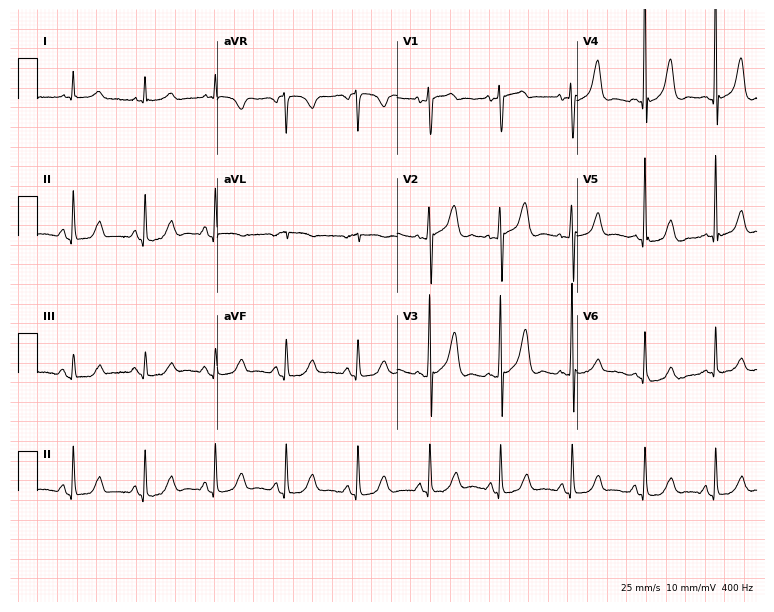
12-lead ECG from a 71-year-old female patient (7.3-second recording at 400 Hz). No first-degree AV block, right bundle branch block (RBBB), left bundle branch block (LBBB), sinus bradycardia, atrial fibrillation (AF) or sinus tachycardia recorded for this tracing. Only these six findings were labelled.